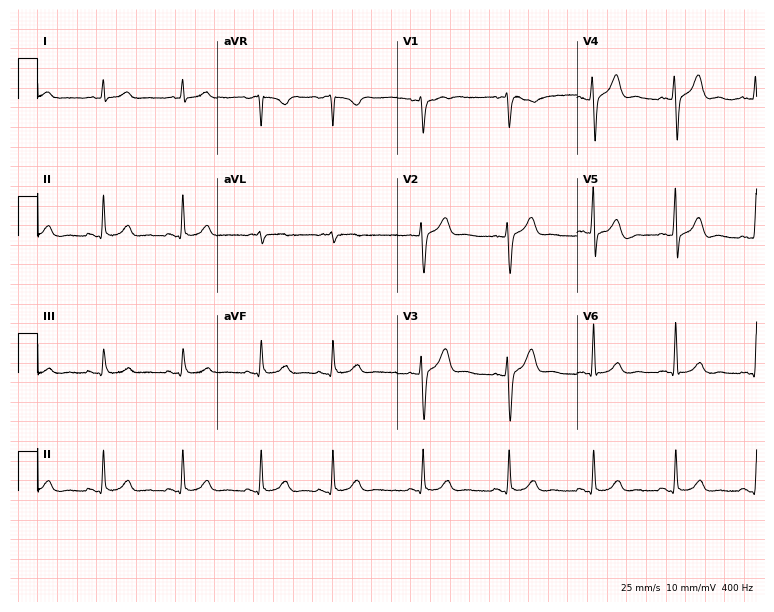
12-lead ECG (7.3-second recording at 400 Hz) from a male patient, 56 years old. Screened for six findings — first-degree AV block, right bundle branch block, left bundle branch block, sinus bradycardia, atrial fibrillation, sinus tachycardia — none is recorded.